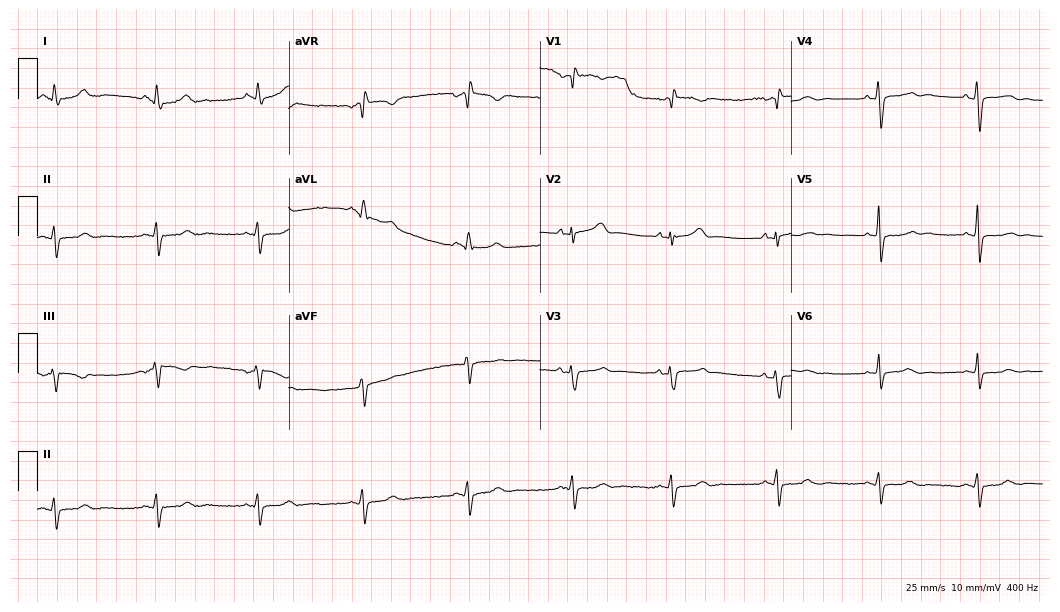
Standard 12-lead ECG recorded from a 29-year-old female (10.2-second recording at 400 Hz). None of these six findings is recorded: first-degree AV block, right bundle branch block, left bundle branch block, sinus bradycardia, atrial fibrillation, sinus tachycardia. Only these six findings were labelled.